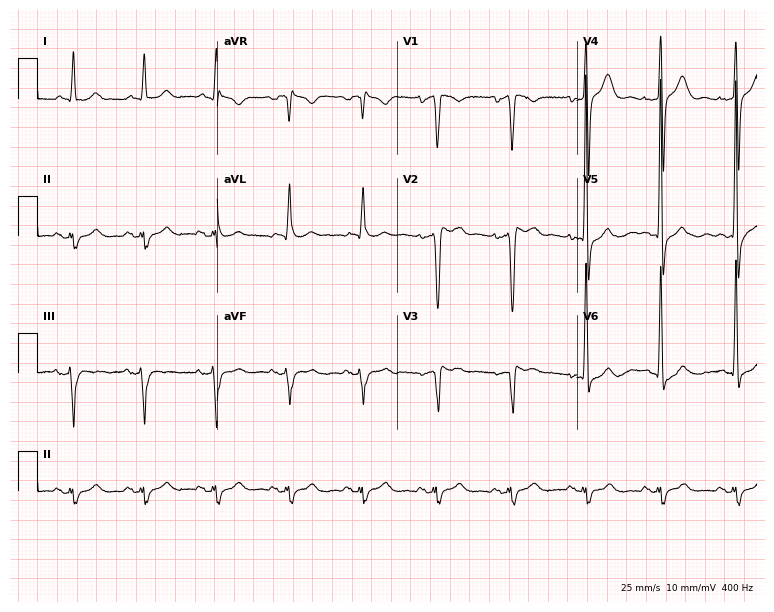
Standard 12-lead ECG recorded from a female patient, 84 years old. None of these six findings is recorded: first-degree AV block, right bundle branch block, left bundle branch block, sinus bradycardia, atrial fibrillation, sinus tachycardia. Findings outside these six are not listed.